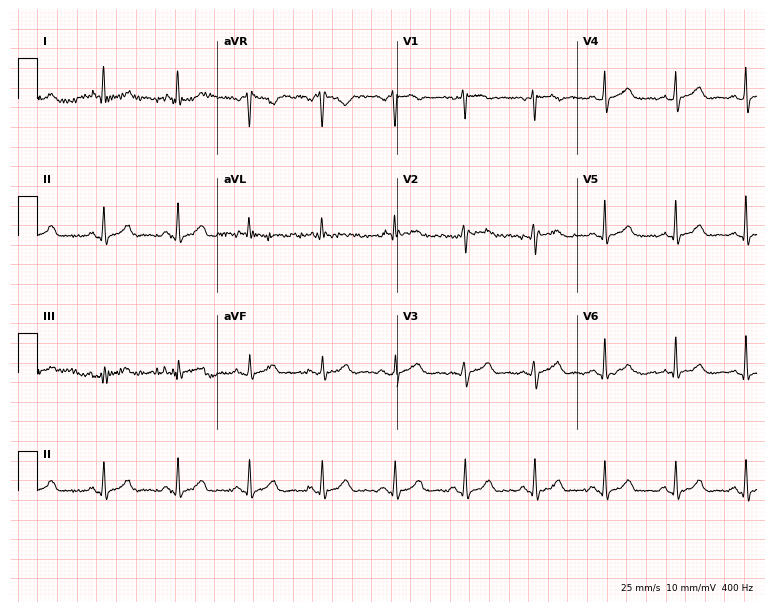
ECG (7.3-second recording at 400 Hz) — a female patient, 59 years old. Labelled as a normal ECG.